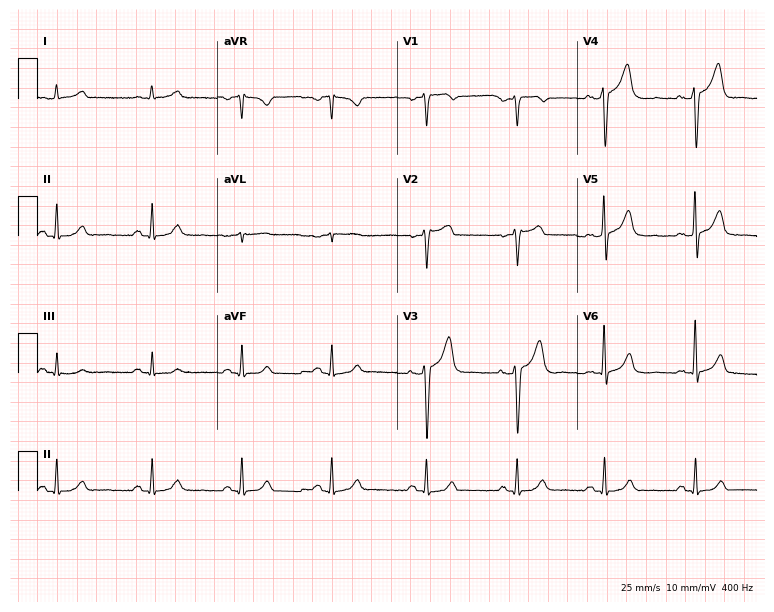
Electrocardiogram, a 64-year-old male patient. Overall reading on record: normal ECG.